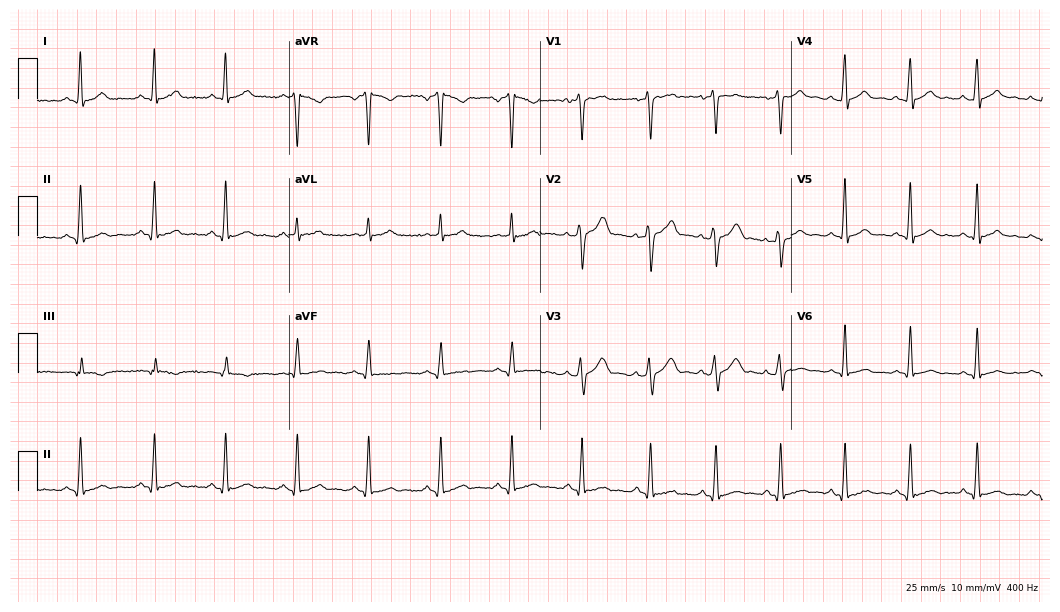
ECG — a male patient, 28 years old. Labelled as a normal ECG.